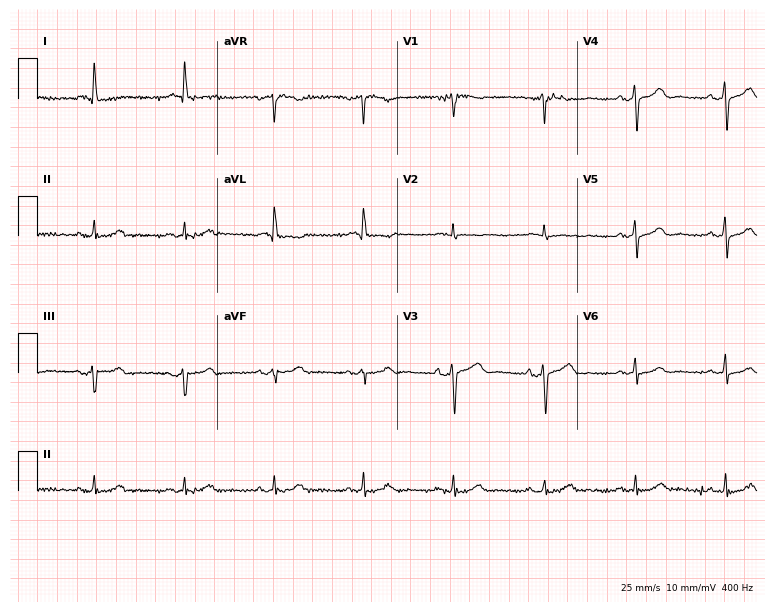
12-lead ECG from a female, 68 years old. Screened for six findings — first-degree AV block, right bundle branch block (RBBB), left bundle branch block (LBBB), sinus bradycardia, atrial fibrillation (AF), sinus tachycardia — none is recorded. Other findings, if any, are not listed.